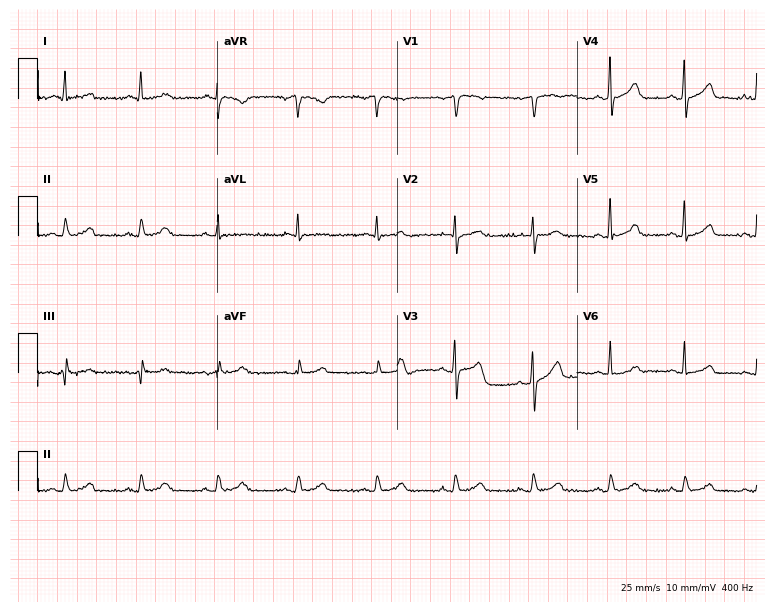
Resting 12-lead electrocardiogram (7.3-second recording at 400 Hz). Patient: a male, 60 years old. Read as a normal ECG.